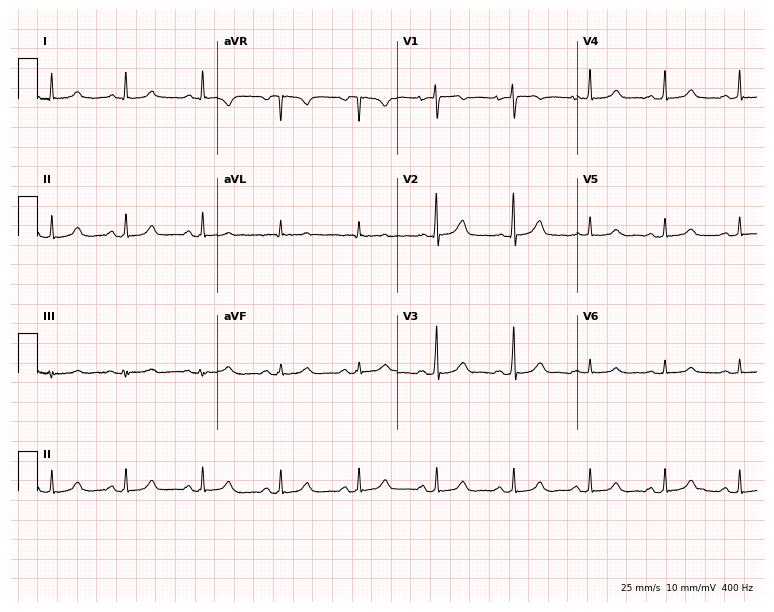
12-lead ECG (7.3-second recording at 400 Hz) from a 48-year-old female. Labelled as a normal ECG.